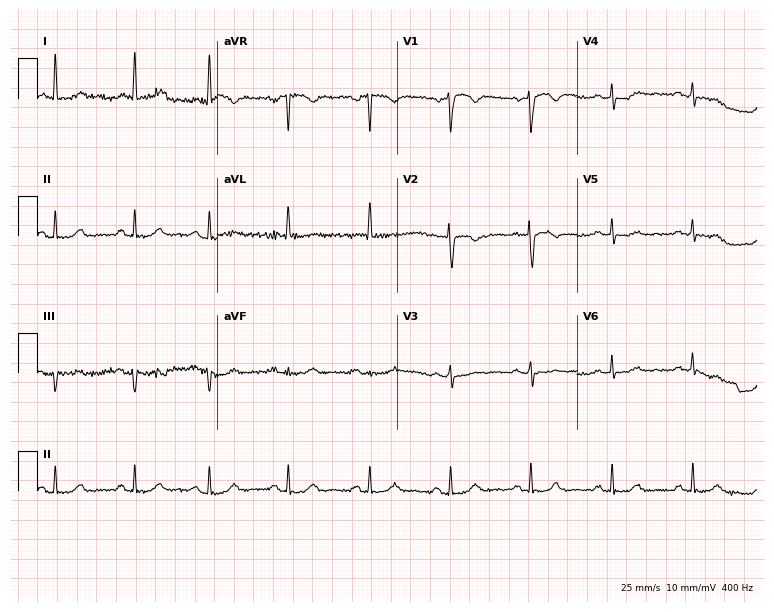
12-lead ECG (7.3-second recording at 400 Hz) from a 65-year-old female patient. Screened for six findings — first-degree AV block, right bundle branch block, left bundle branch block, sinus bradycardia, atrial fibrillation, sinus tachycardia — none is recorded. Findings outside these six are not listed.